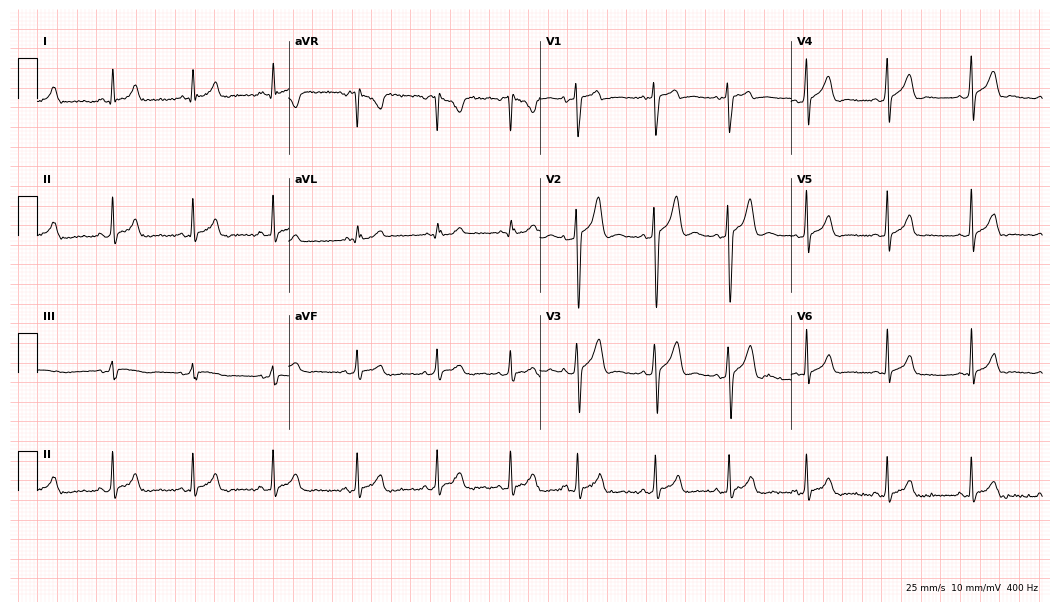
12-lead ECG from a 23-year-old male. No first-degree AV block, right bundle branch block, left bundle branch block, sinus bradycardia, atrial fibrillation or sinus tachycardia recorded for this tracing.